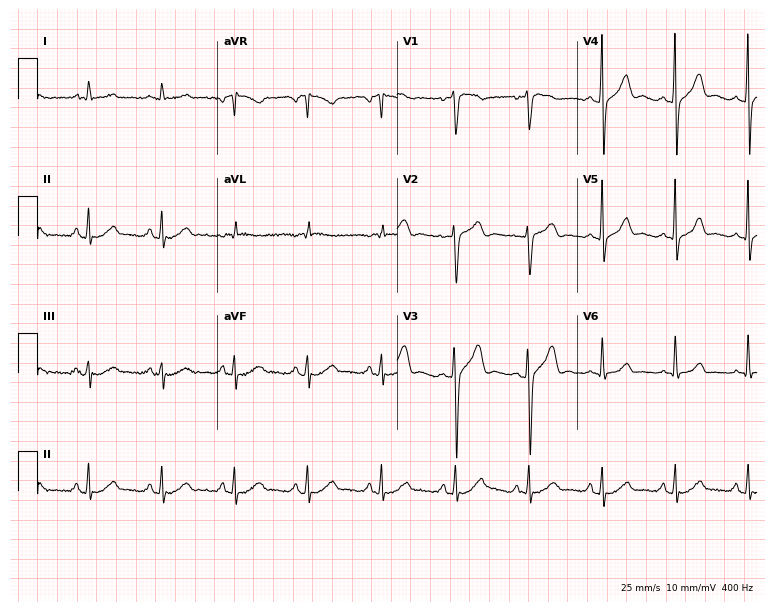
ECG — a 43-year-old man. Labelled as a normal ECG.